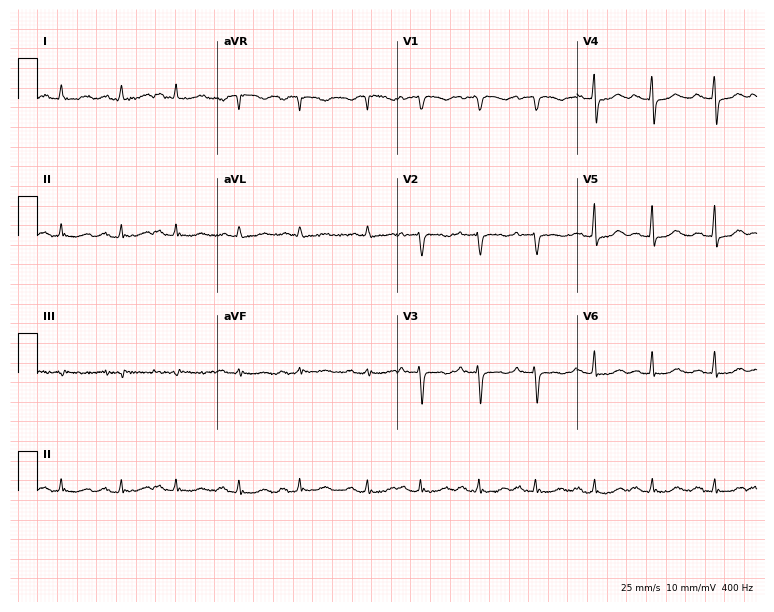
12-lead ECG (7.3-second recording at 400 Hz) from a 69-year-old female patient. Screened for six findings — first-degree AV block, right bundle branch block (RBBB), left bundle branch block (LBBB), sinus bradycardia, atrial fibrillation (AF), sinus tachycardia — none is recorded.